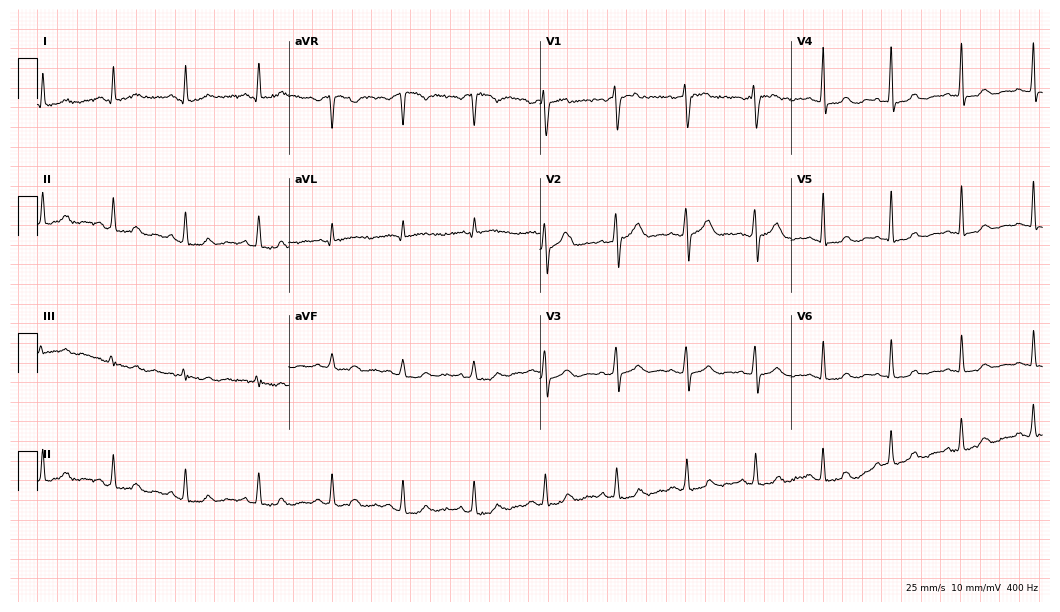
12-lead ECG from a 39-year-old female patient. No first-degree AV block, right bundle branch block, left bundle branch block, sinus bradycardia, atrial fibrillation or sinus tachycardia recorded for this tracing. Other findings, if any, are not listed.